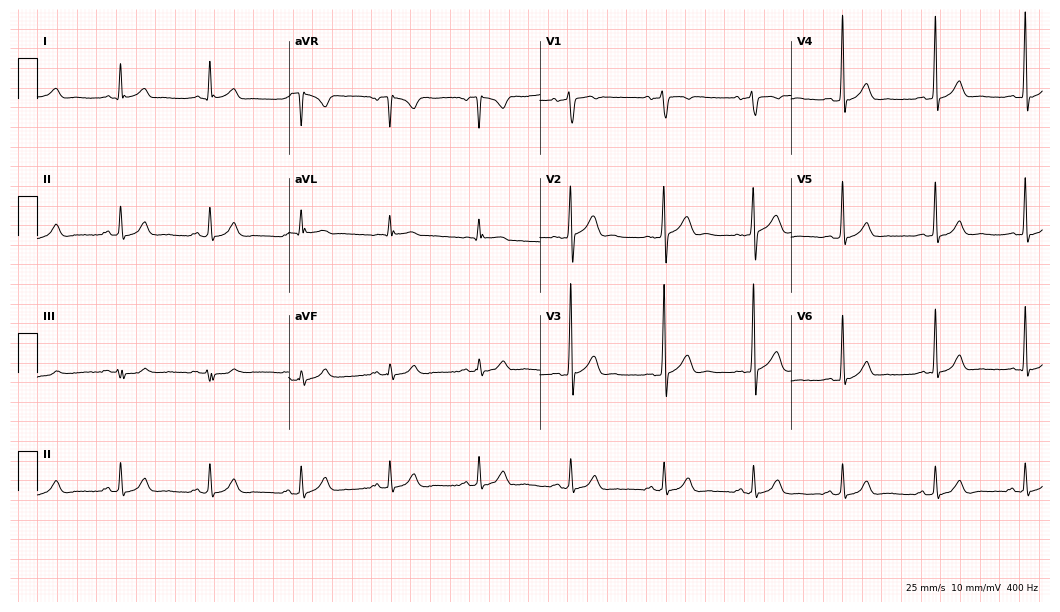
ECG (10.2-second recording at 400 Hz) — a 34-year-old male. Labelled as a normal ECG.